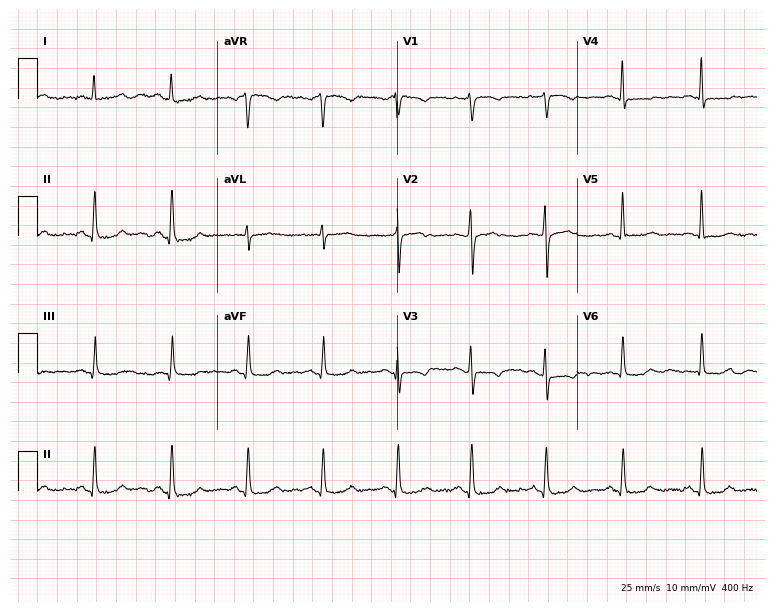
Standard 12-lead ECG recorded from a 57-year-old female. None of these six findings is recorded: first-degree AV block, right bundle branch block, left bundle branch block, sinus bradycardia, atrial fibrillation, sinus tachycardia.